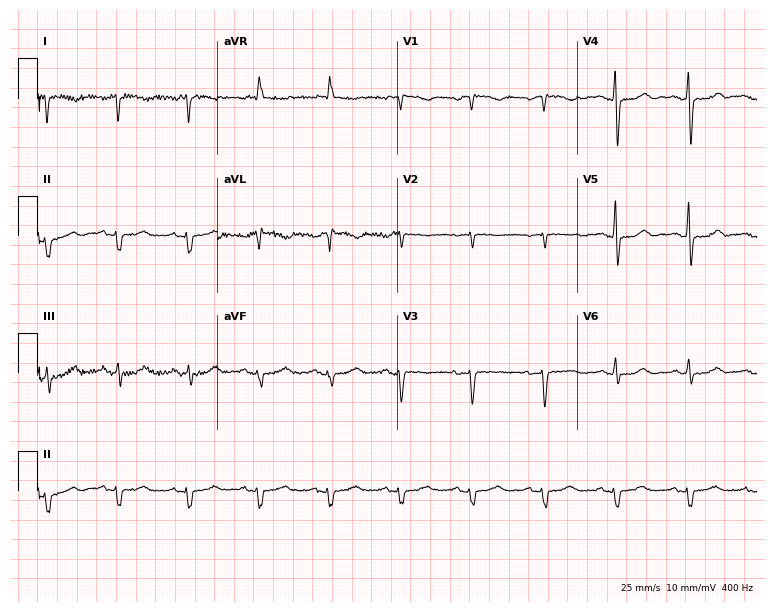
12-lead ECG from a woman, 70 years old. Screened for six findings — first-degree AV block, right bundle branch block (RBBB), left bundle branch block (LBBB), sinus bradycardia, atrial fibrillation (AF), sinus tachycardia — none is recorded.